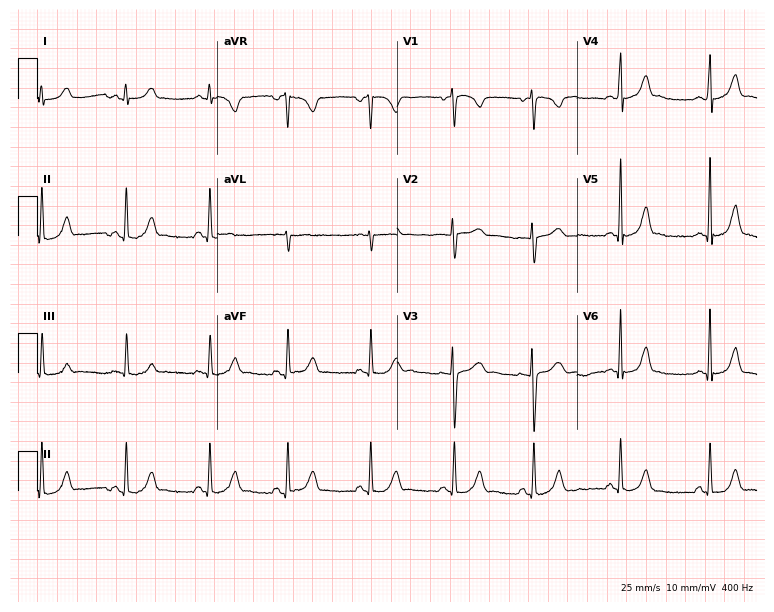
ECG — a 20-year-old woman. Screened for six findings — first-degree AV block, right bundle branch block (RBBB), left bundle branch block (LBBB), sinus bradycardia, atrial fibrillation (AF), sinus tachycardia — none is recorded.